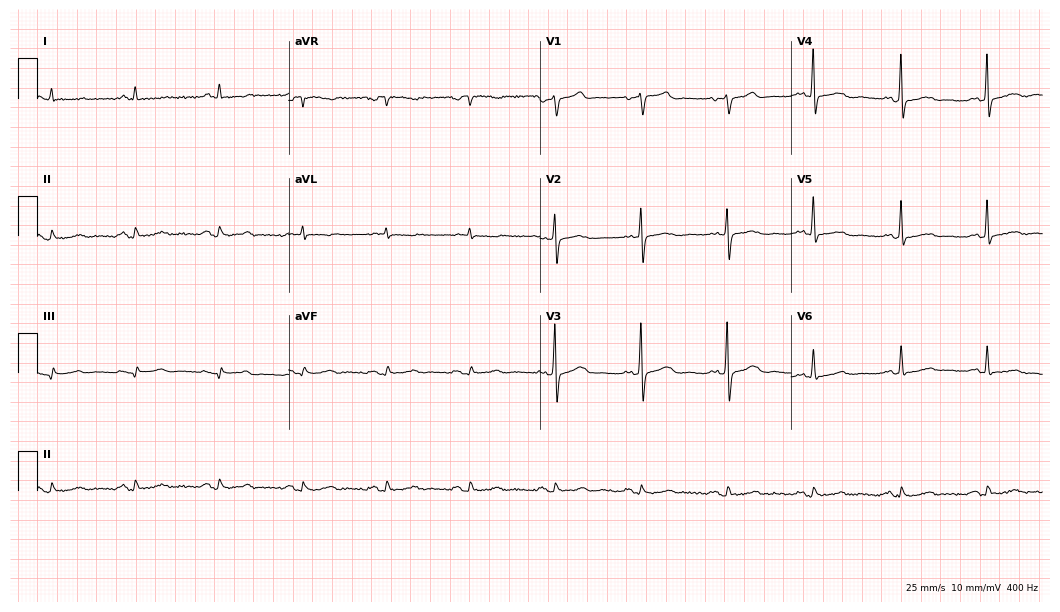
Standard 12-lead ECG recorded from a male patient, 69 years old. Read as a normal ECG.